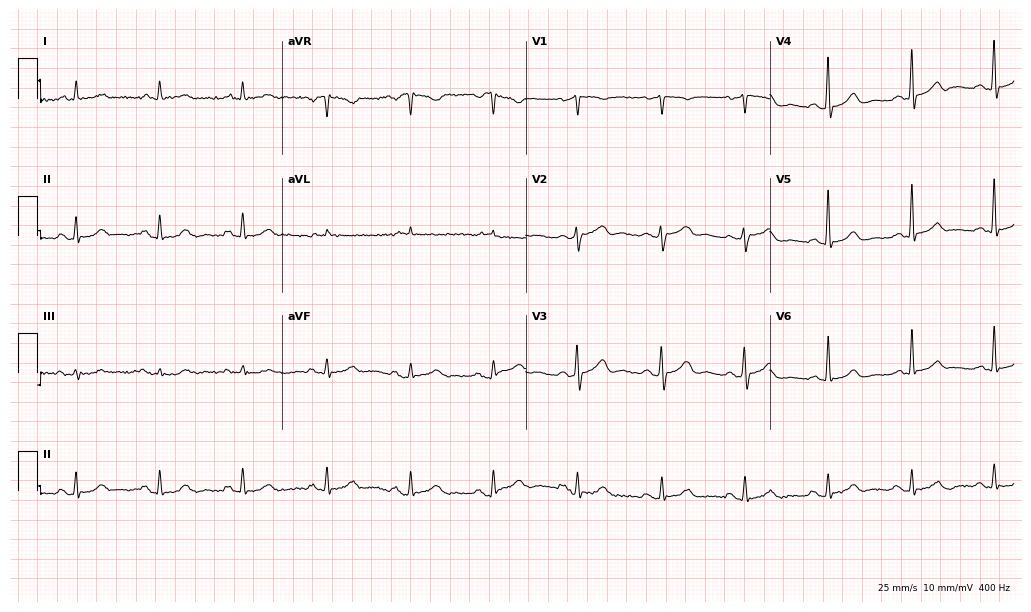
Standard 12-lead ECG recorded from a man, 85 years old (10-second recording at 400 Hz). Read as a normal ECG.